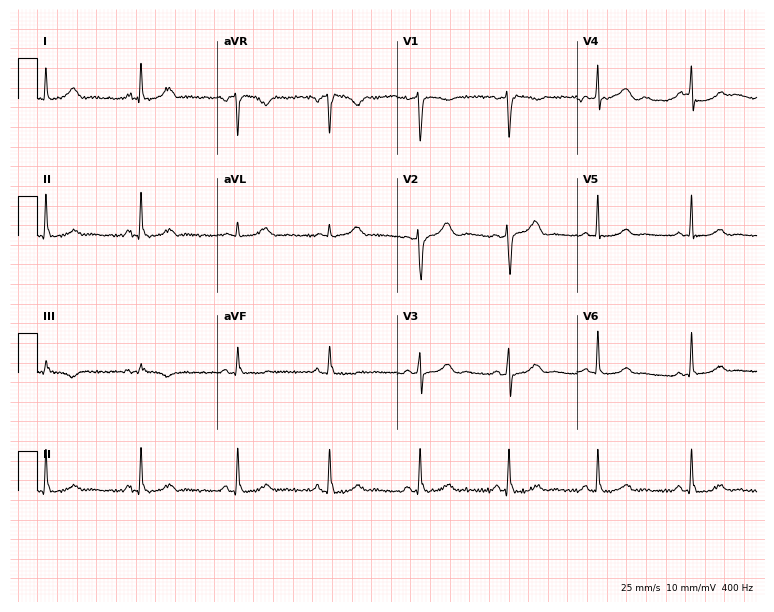
Resting 12-lead electrocardiogram (7.3-second recording at 400 Hz). Patient: a 43-year-old female. Read as a normal ECG.